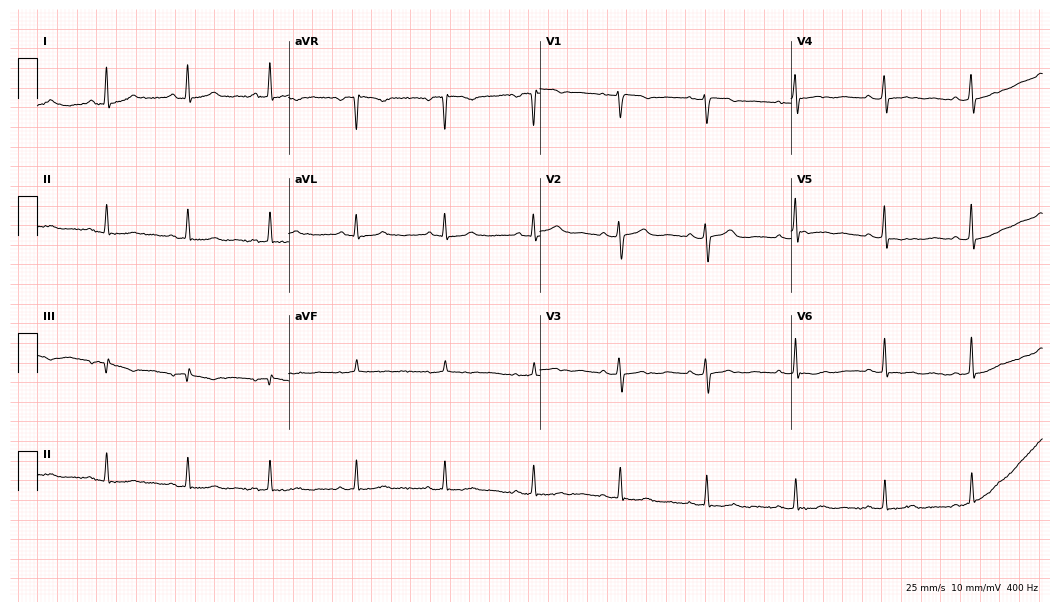
Electrocardiogram (10.2-second recording at 400 Hz), a woman, 49 years old. Of the six screened findings (first-degree AV block, right bundle branch block (RBBB), left bundle branch block (LBBB), sinus bradycardia, atrial fibrillation (AF), sinus tachycardia), none is recorded.